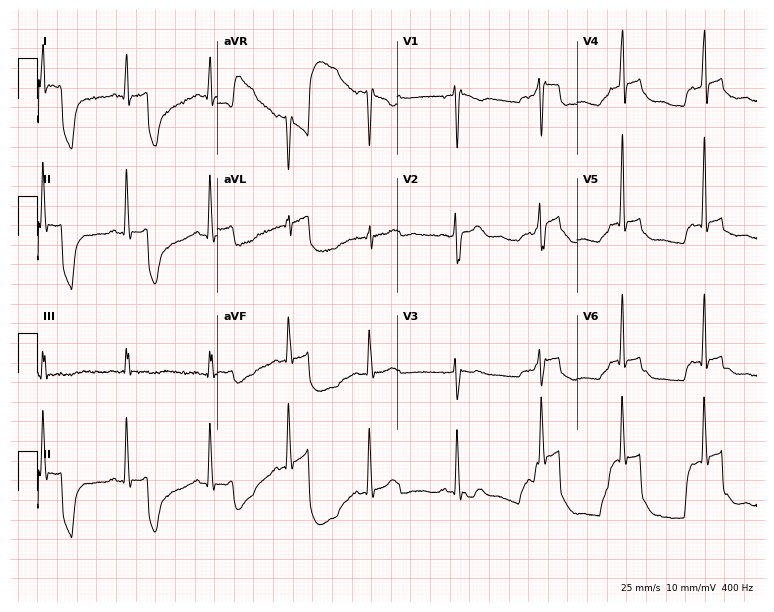
Resting 12-lead electrocardiogram. Patient: a man, 19 years old. Read as a normal ECG.